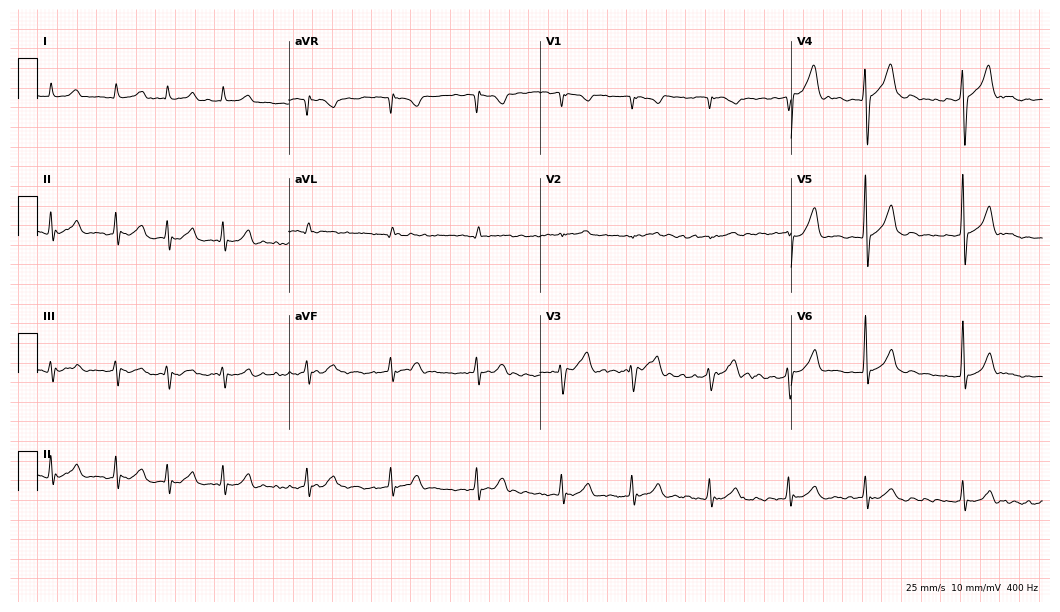
12-lead ECG (10.2-second recording at 400 Hz) from a man, 67 years old. Findings include atrial fibrillation.